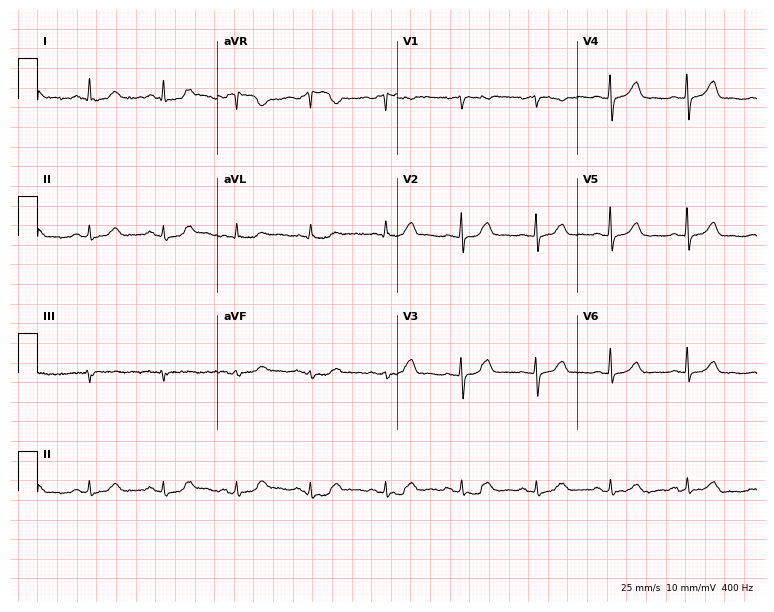
12-lead ECG (7.3-second recording at 400 Hz) from a female, 46 years old. Screened for six findings — first-degree AV block, right bundle branch block (RBBB), left bundle branch block (LBBB), sinus bradycardia, atrial fibrillation (AF), sinus tachycardia — none is recorded.